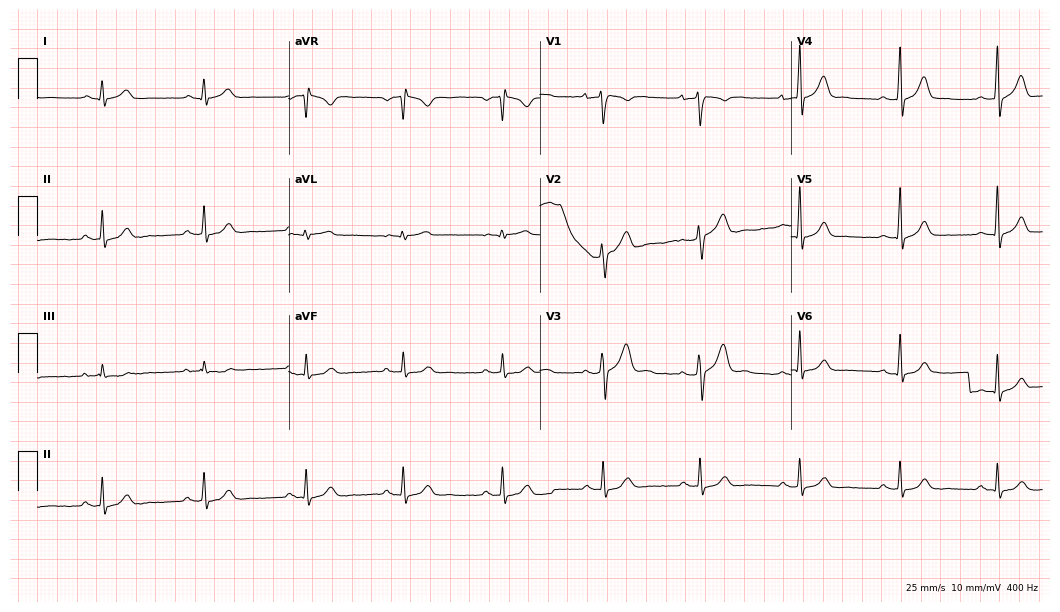
12-lead ECG from a male, 24 years old. Recorded interpretation: within normal limits.